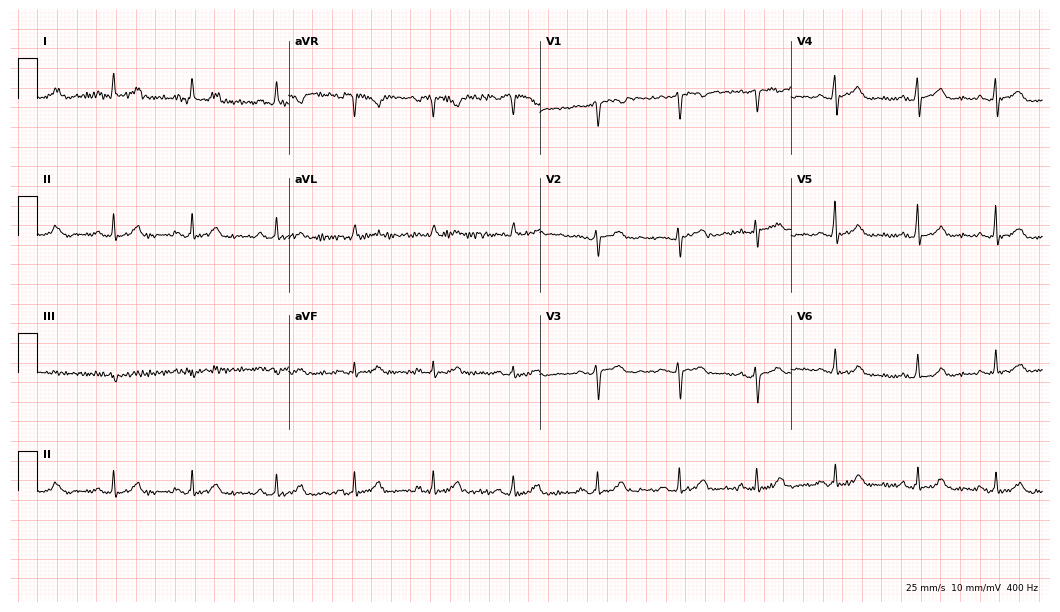
Resting 12-lead electrocardiogram. Patient: a 50-year-old female. Read as a normal ECG.